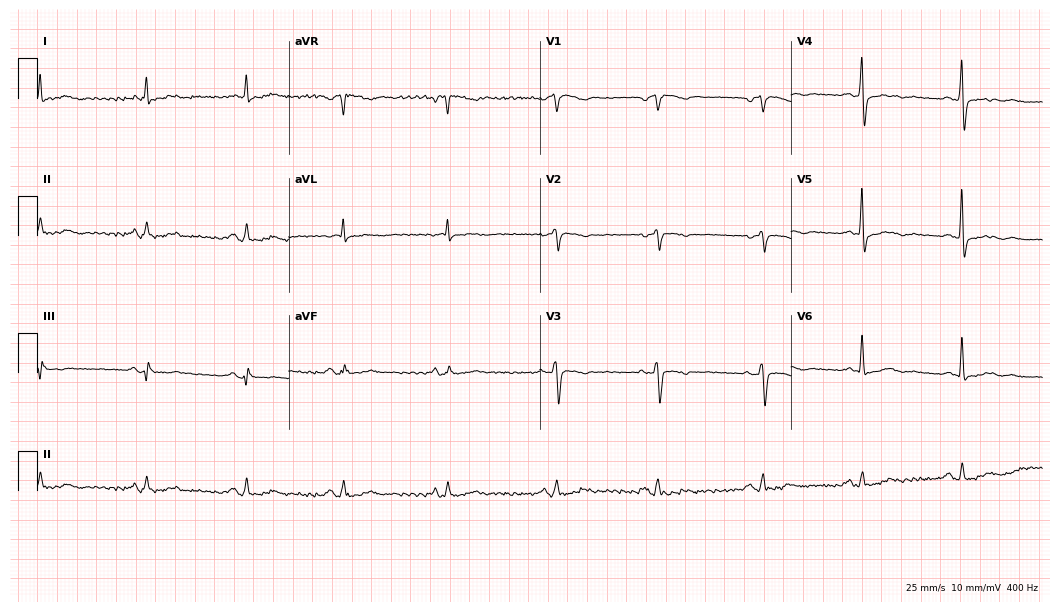
12-lead ECG from a woman, 52 years old (10.2-second recording at 400 Hz). Recorded interpretation: within normal limits.